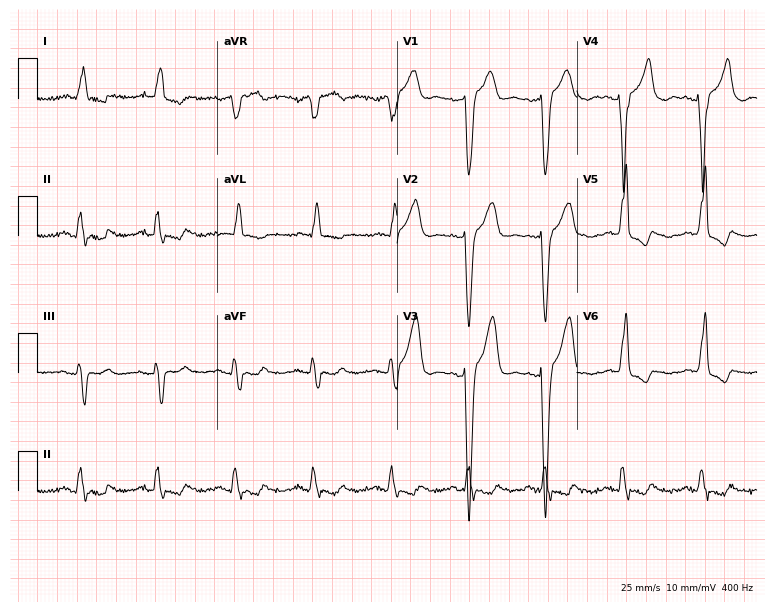
12-lead ECG from a man, 73 years old (7.3-second recording at 400 Hz). Shows left bundle branch block (LBBB).